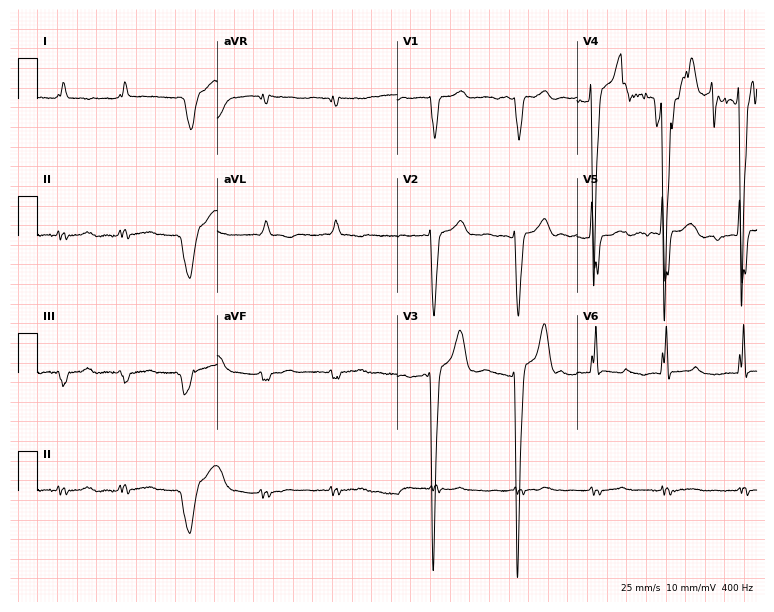
Standard 12-lead ECG recorded from an 84-year-old male (7.3-second recording at 400 Hz). The tracing shows left bundle branch block, atrial fibrillation.